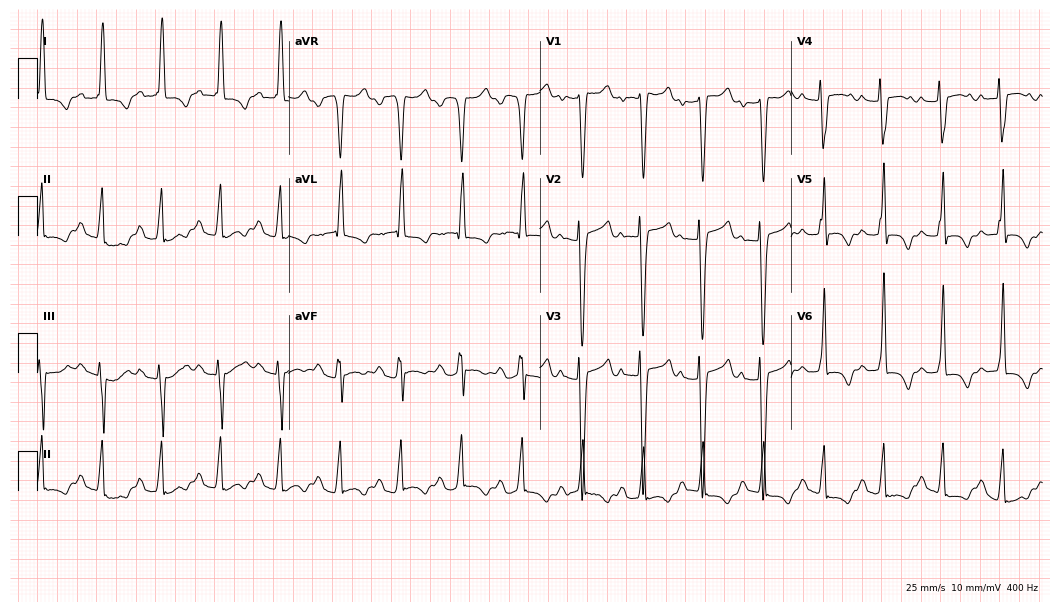
Electrocardiogram (10.2-second recording at 400 Hz), a 60-year-old male. Of the six screened findings (first-degree AV block, right bundle branch block, left bundle branch block, sinus bradycardia, atrial fibrillation, sinus tachycardia), none is recorded. Findings outside these six are not listed.